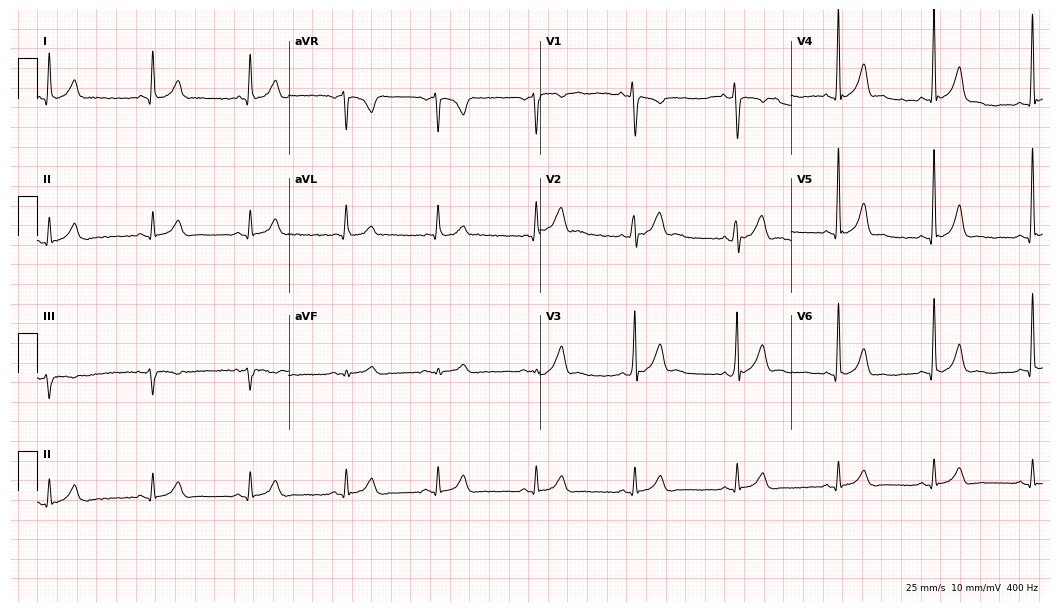
12-lead ECG (10.2-second recording at 400 Hz) from a man, 38 years old. Labelled as a normal ECG.